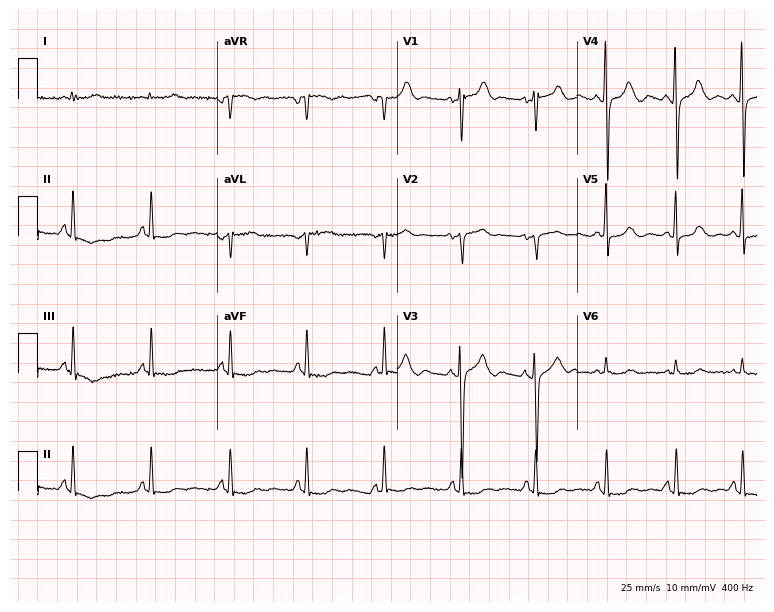
Standard 12-lead ECG recorded from a 73-year-old female patient. None of these six findings is recorded: first-degree AV block, right bundle branch block (RBBB), left bundle branch block (LBBB), sinus bradycardia, atrial fibrillation (AF), sinus tachycardia.